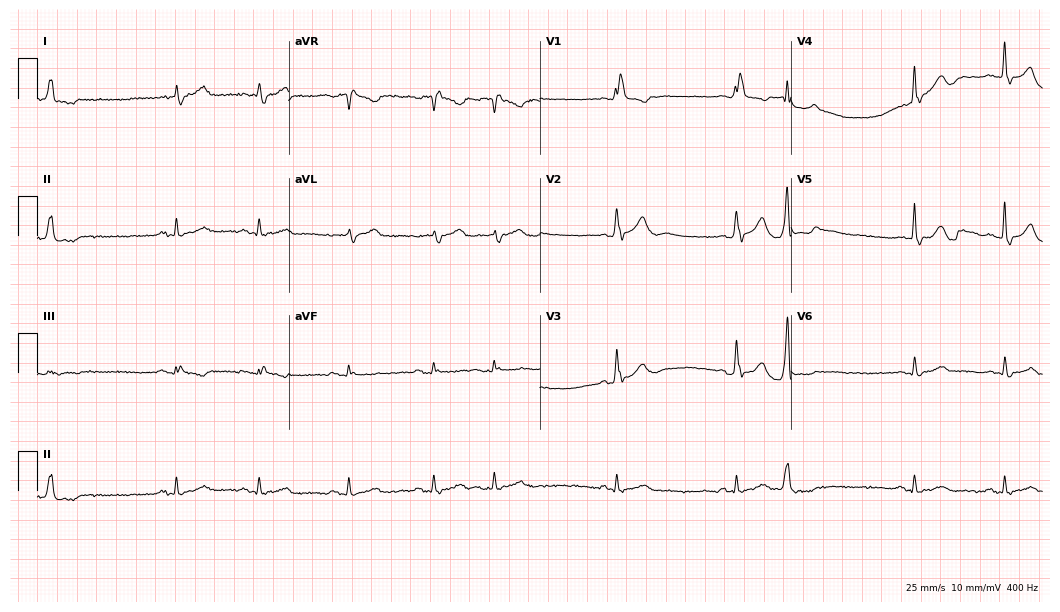
12-lead ECG from an 82-year-old male patient (10.2-second recording at 400 Hz). Shows right bundle branch block.